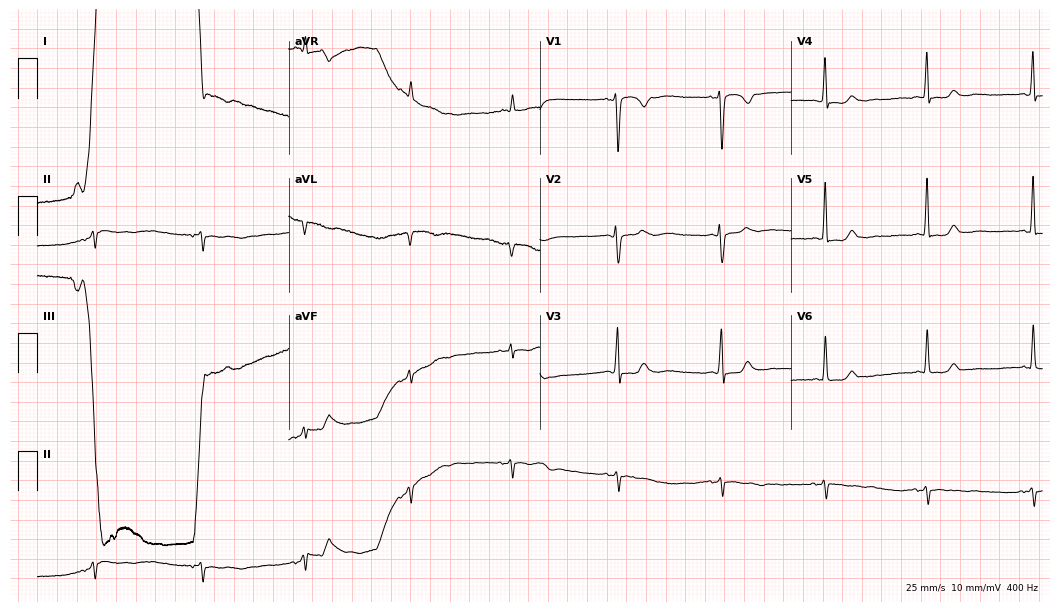
12-lead ECG (10.2-second recording at 400 Hz) from a 68-year-old woman. Screened for six findings — first-degree AV block, right bundle branch block, left bundle branch block, sinus bradycardia, atrial fibrillation, sinus tachycardia — none is recorded. Only these six findings were labelled.